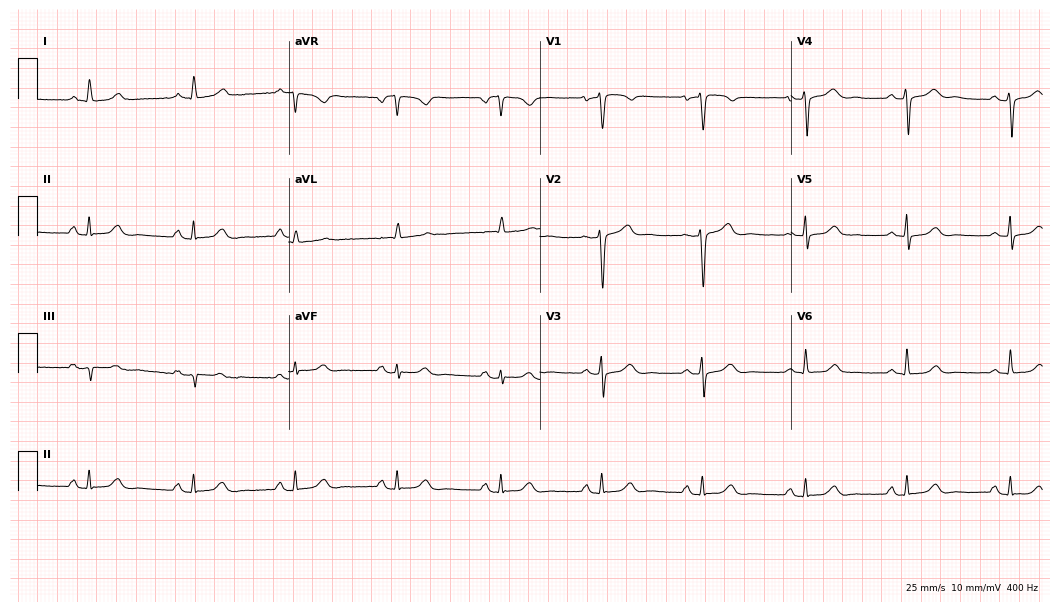
12-lead ECG (10.2-second recording at 400 Hz) from a woman, 59 years old. Labelled as a normal ECG.